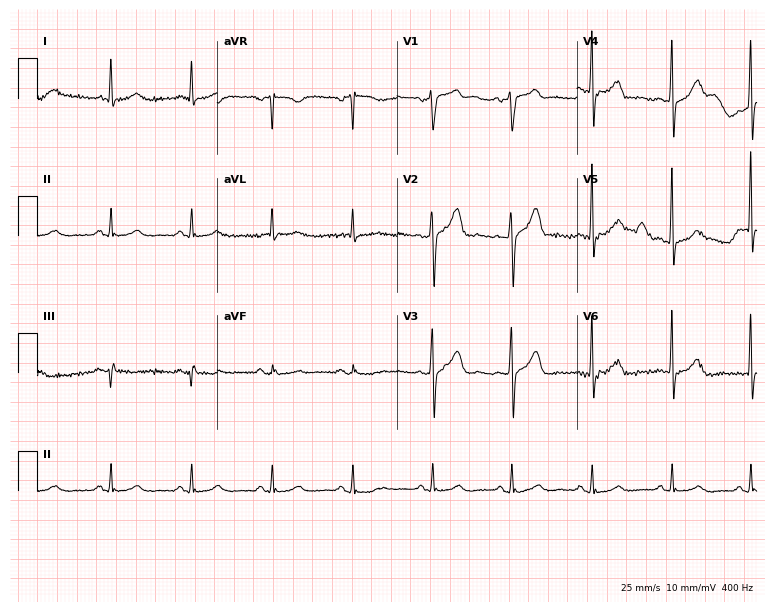
Resting 12-lead electrocardiogram (7.3-second recording at 400 Hz). Patient: a man, 65 years old. None of these six findings is recorded: first-degree AV block, right bundle branch block (RBBB), left bundle branch block (LBBB), sinus bradycardia, atrial fibrillation (AF), sinus tachycardia. Other findings, if any, are not listed.